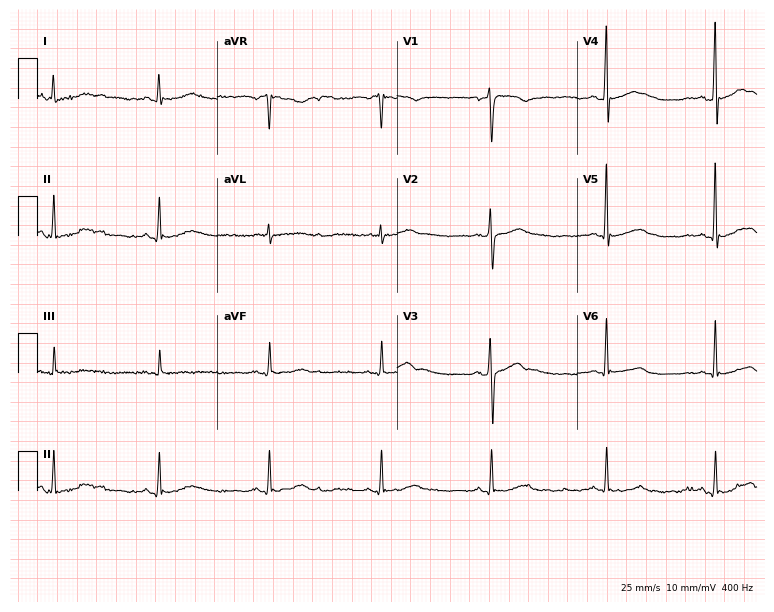
12-lead ECG from a male, 43 years old. Recorded interpretation: within normal limits.